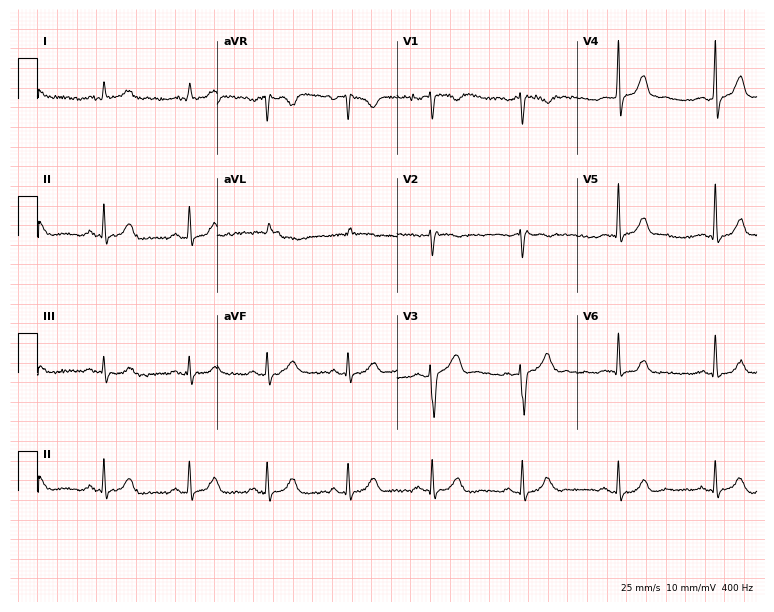
12-lead ECG from a male patient, 59 years old (7.3-second recording at 400 Hz). Recorded interpretation: within normal limits.